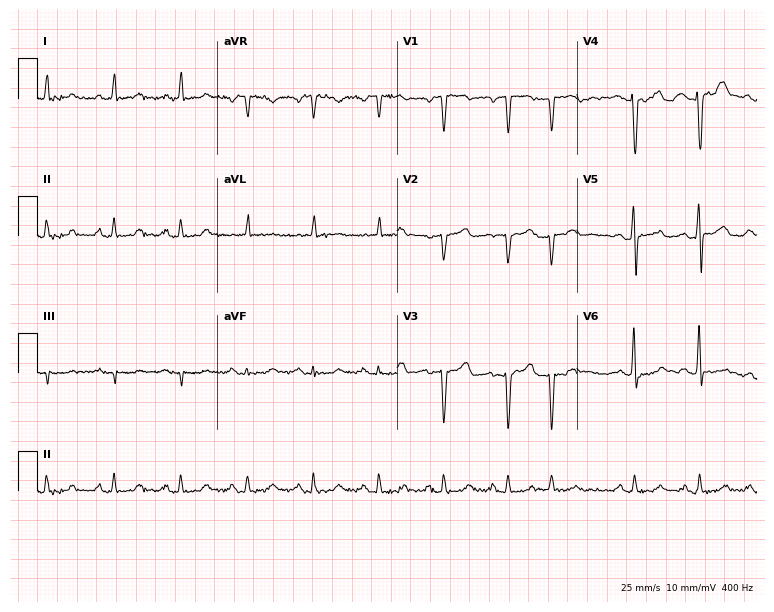
12-lead ECG from a 77-year-old female. No first-degree AV block, right bundle branch block (RBBB), left bundle branch block (LBBB), sinus bradycardia, atrial fibrillation (AF) or sinus tachycardia recorded for this tracing. Other findings, if any, are not listed.